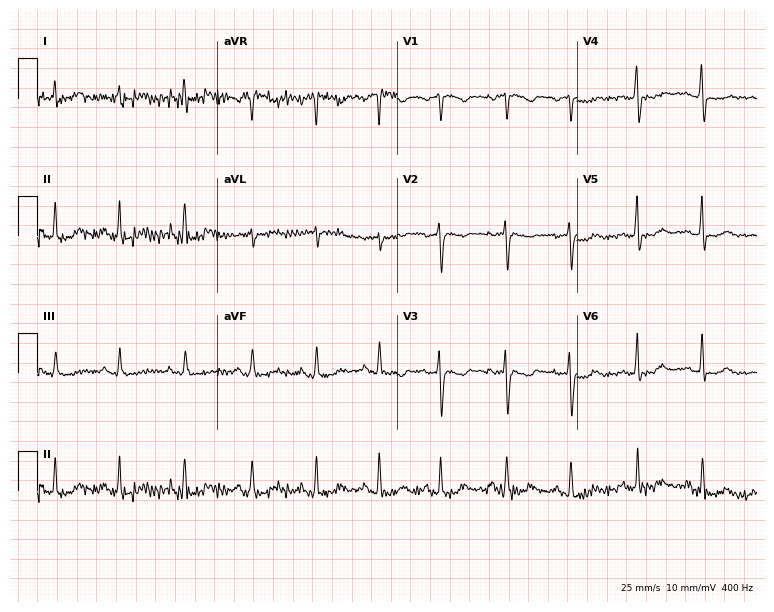
ECG (7.3-second recording at 400 Hz) — a female patient, 41 years old. Screened for six findings — first-degree AV block, right bundle branch block (RBBB), left bundle branch block (LBBB), sinus bradycardia, atrial fibrillation (AF), sinus tachycardia — none is recorded. Findings outside these six are not listed.